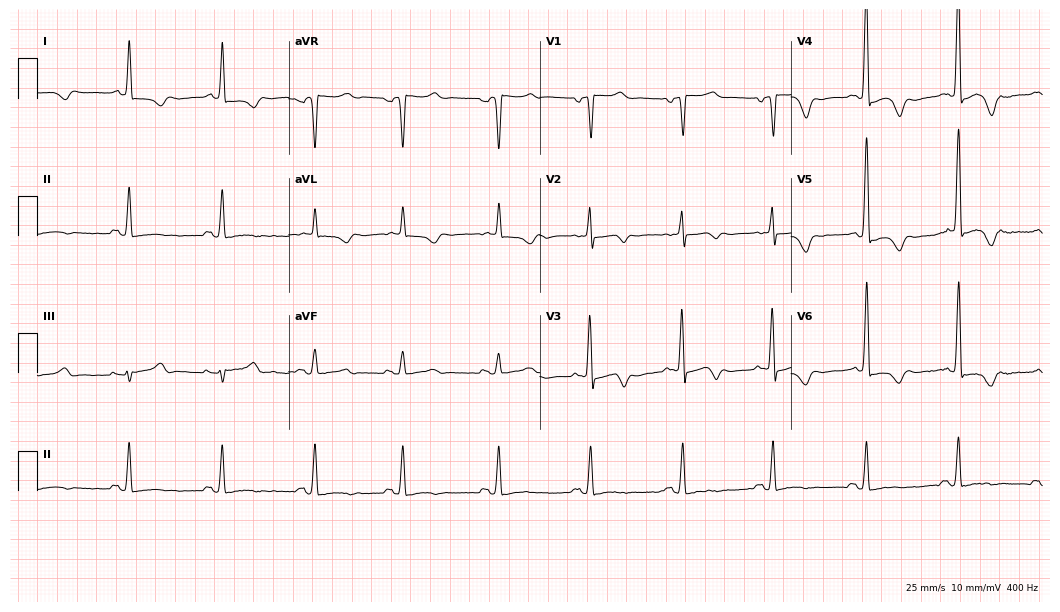
Electrocardiogram, a 78-year-old male patient. Overall reading on record: normal ECG.